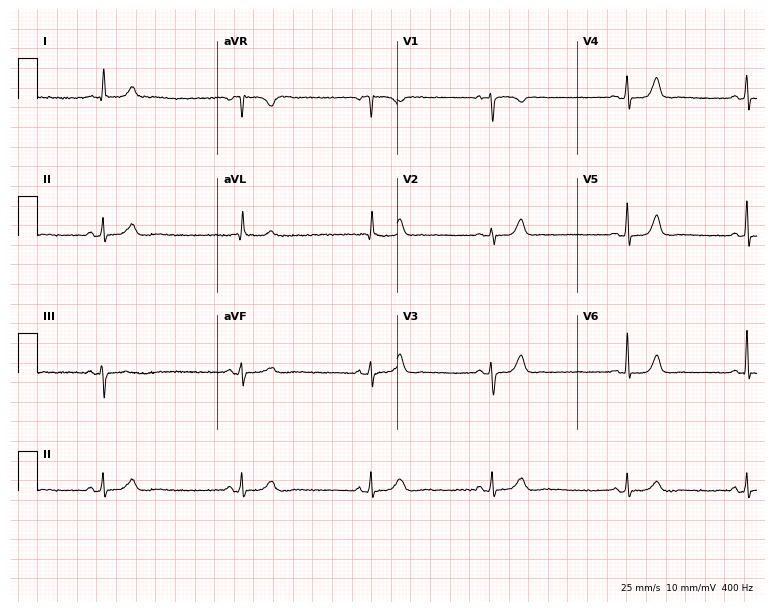
12-lead ECG (7.3-second recording at 400 Hz) from a 76-year-old female patient. Labelled as a normal ECG.